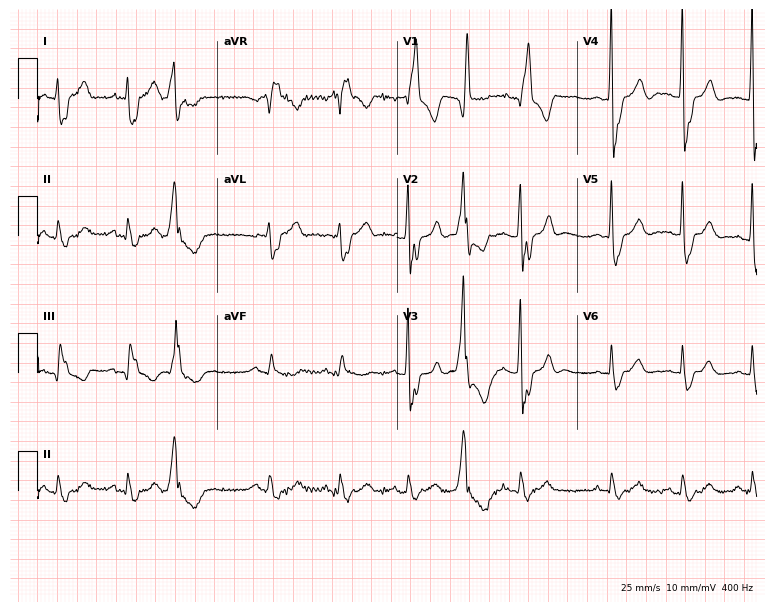
Standard 12-lead ECG recorded from a male, 83 years old. The tracing shows right bundle branch block.